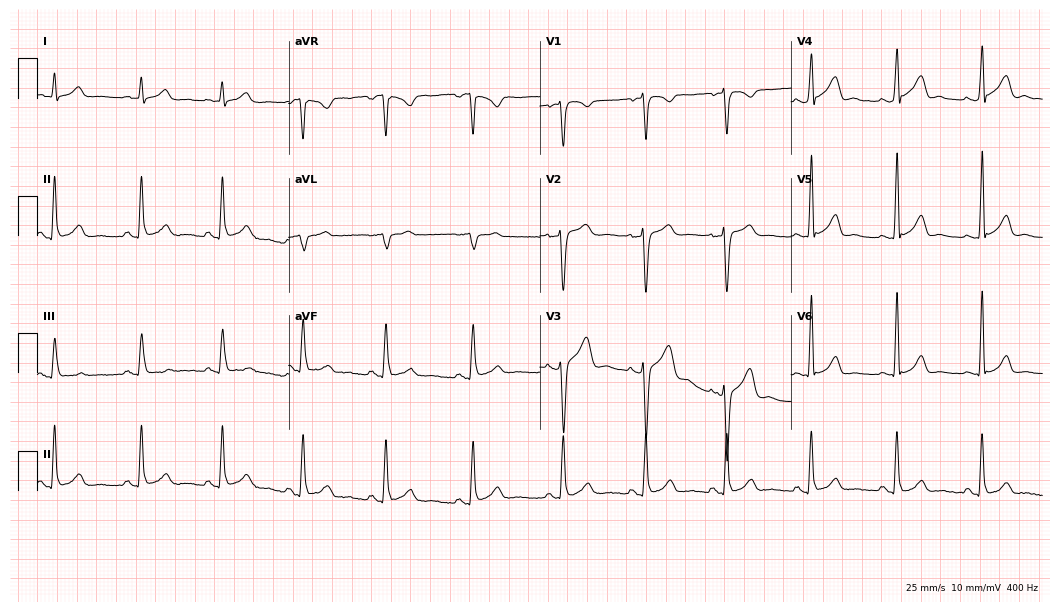
12-lead ECG from a man, 34 years old (10.2-second recording at 400 Hz). Recorded interpretation: within normal limits.